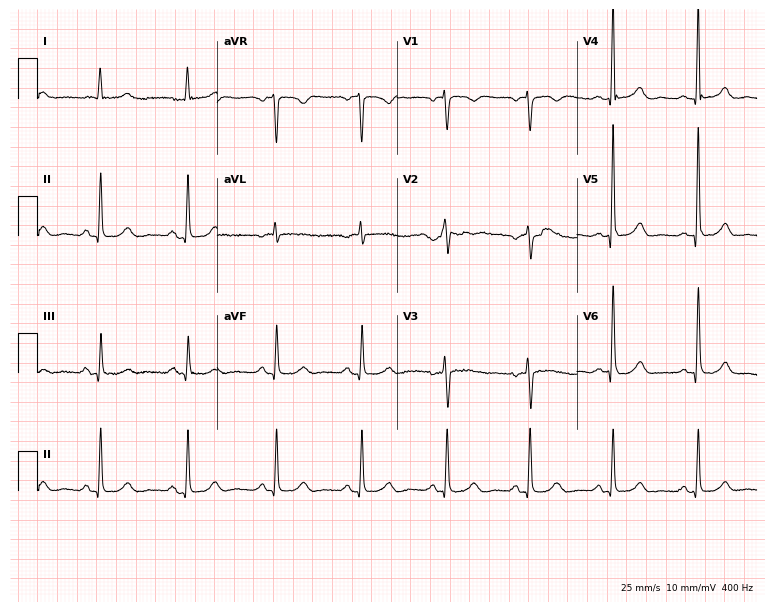
ECG (7.3-second recording at 400 Hz) — a 79-year-old female. Screened for six findings — first-degree AV block, right bundle branch block (RBBB), left bundle branch block (LBBB), sinus bradycardia, atrial fibrillation (AF), sinus tachycardia — none is recorded. Findings outside these six are not listed.